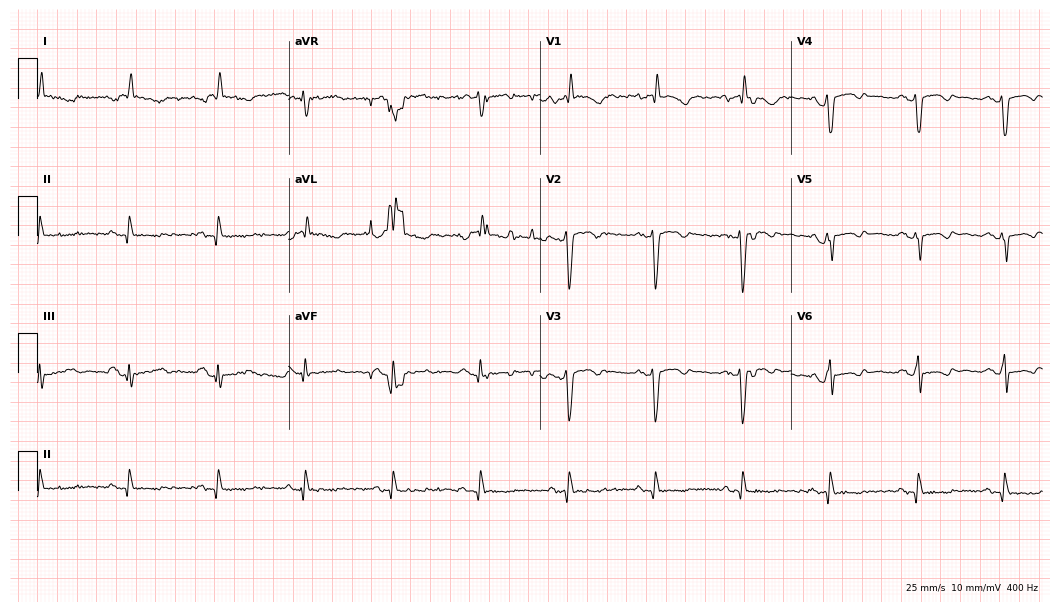
Resting 12-lead electrocardiogram (10.2-second recording at 400 Hz). Patient: a 46-year-old woman. None of these six findings is recorded: first-degree AV block, right bundle branch block, left bundle branch block, sinus bradycardia, atrial fibrillation, sinus tachycardia.